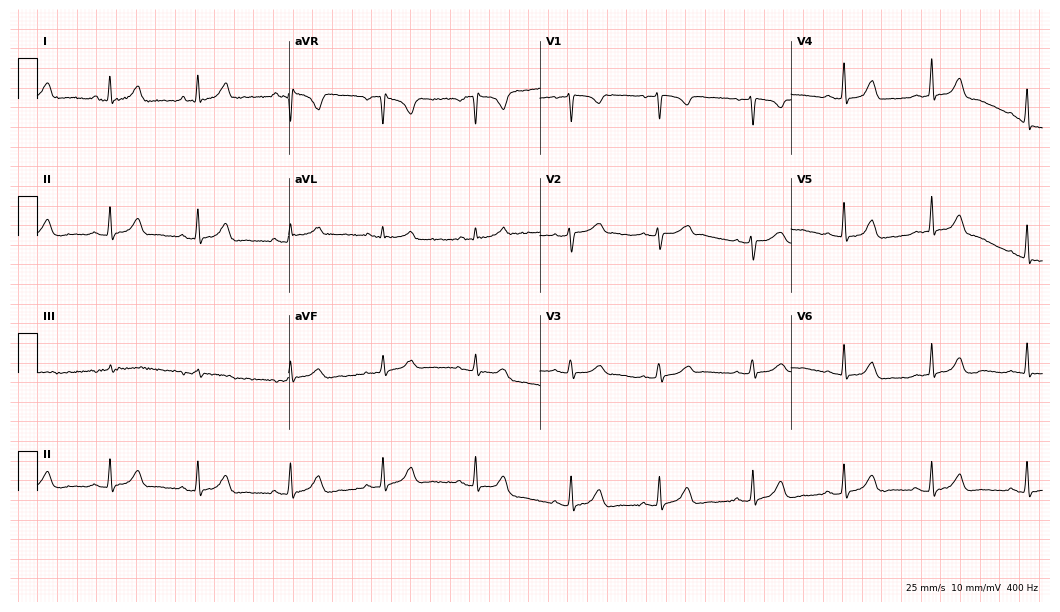
12-lead ECG (10.2-second recording at 400 Hz) from a female, 41 years old. Labelled as a normal ECG.